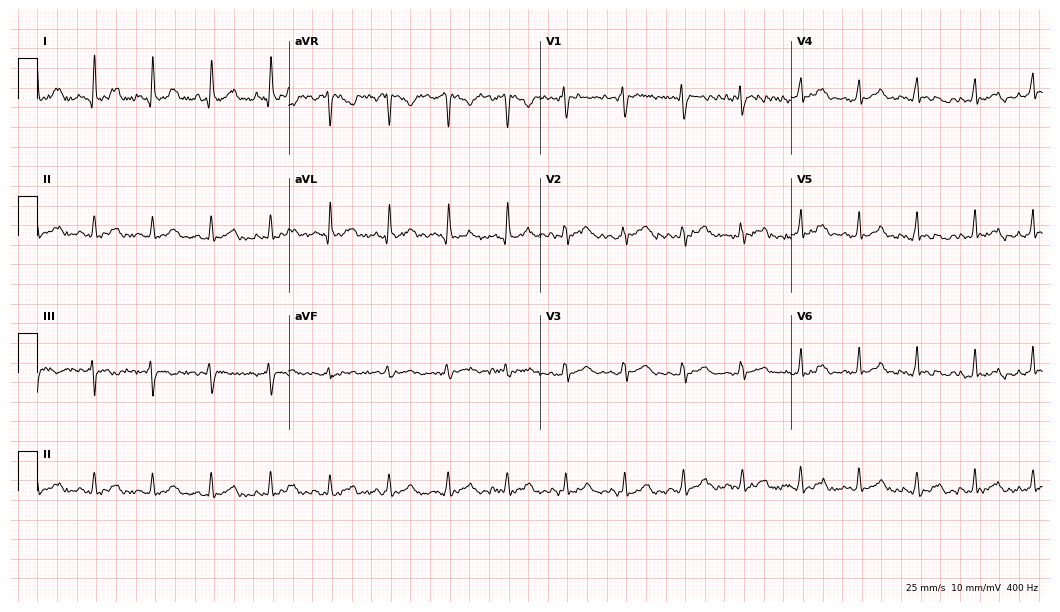
Standard 12-lead ECG recorded from a 30-year-old female. The tracing shows sinus tachycardia (a sinus rate of 100 beats per minute or more).